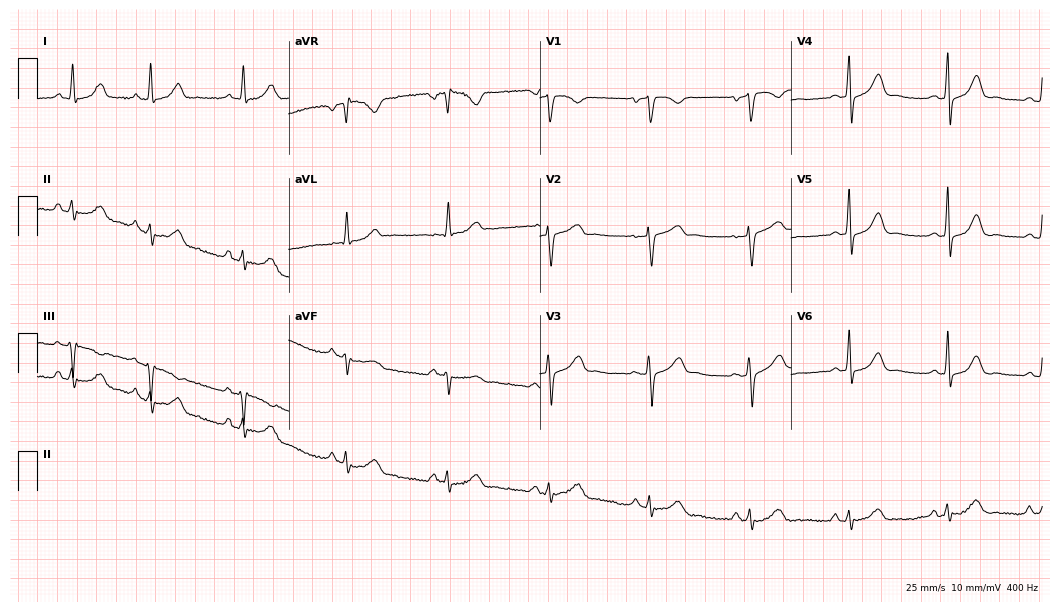
12-lead ECG (10.2-second recording at 400 Hz) from a woman, 54 years old. Labelled as a normal ECG.